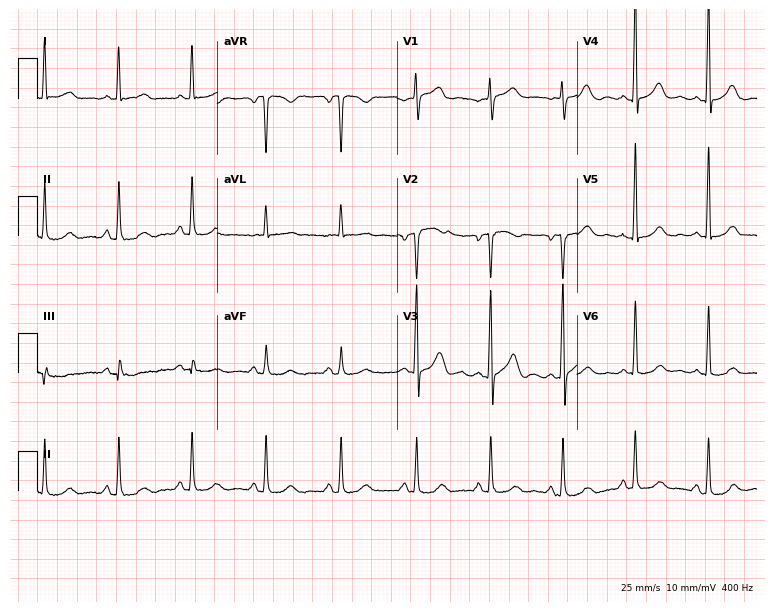
12-lead ECG from a 37-year-old female. Recorded interpretation: within normal limits.